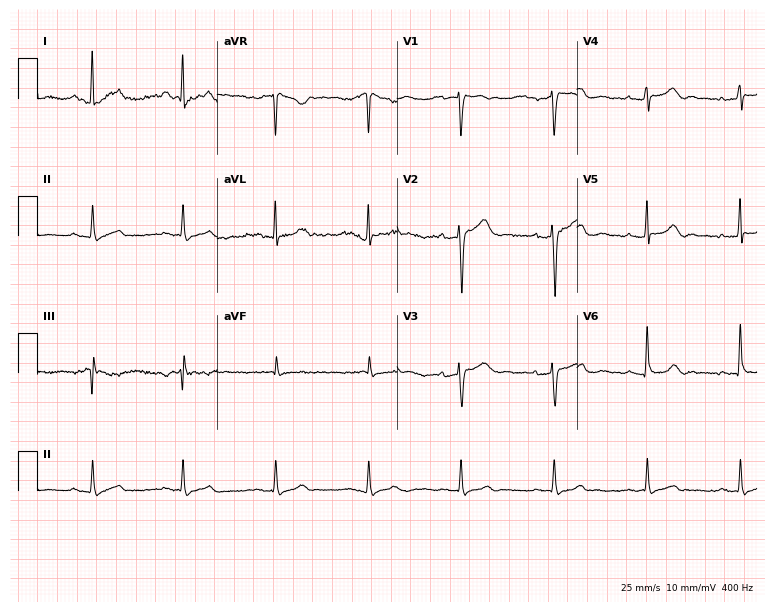
Resting 12-lead electrocardiogram (7.3-second recording at 400 Hz). Patient: a woman, 59 years old. Read as a normal ECG.